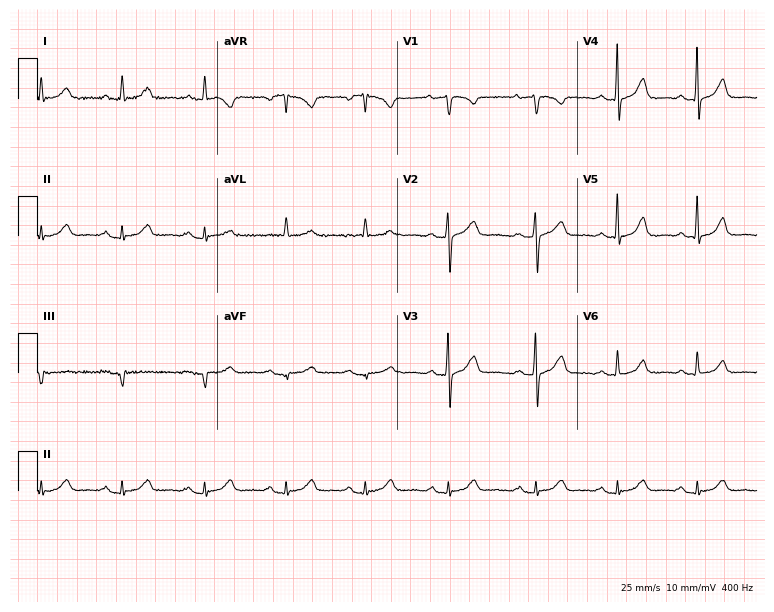
12-lead ECG from a woman, 59 years old. No first-degree AV block, right bundle branch block, left bundle branch block, sinus bradycardia, atrial fibrillation or sinus tachycardia recorded for this tracing.